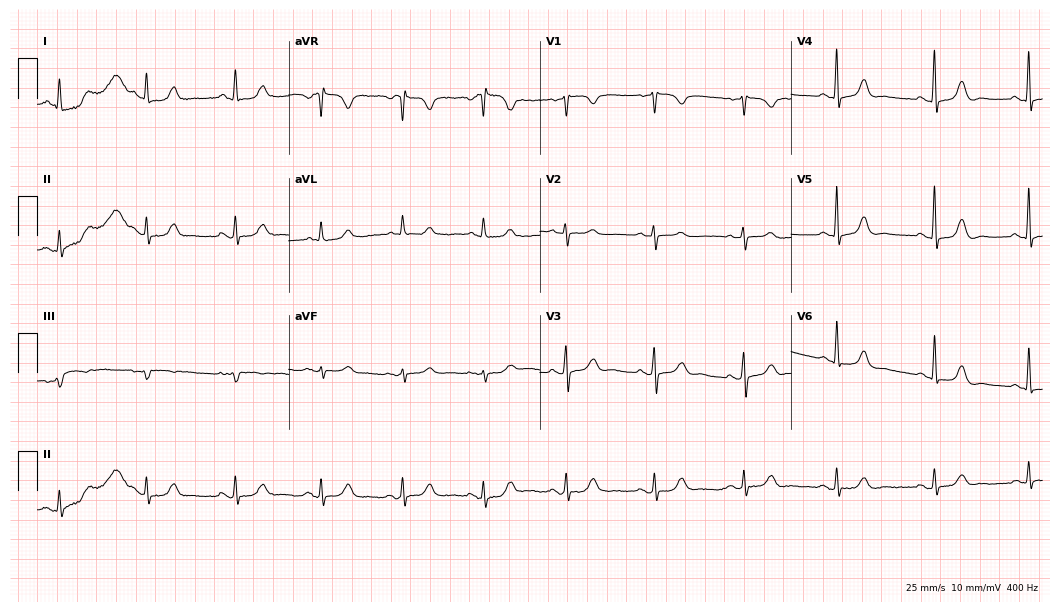
Resting 12-lead electrocardiogram. Patient: a 69-year-old female. None of these six findings is recorded: first-degree AV block, right bundle branch block (RBBB), left bundle branch block (LBBB), sinus bradycardia, atrial fibrillation (AF), sinus tachycardia.